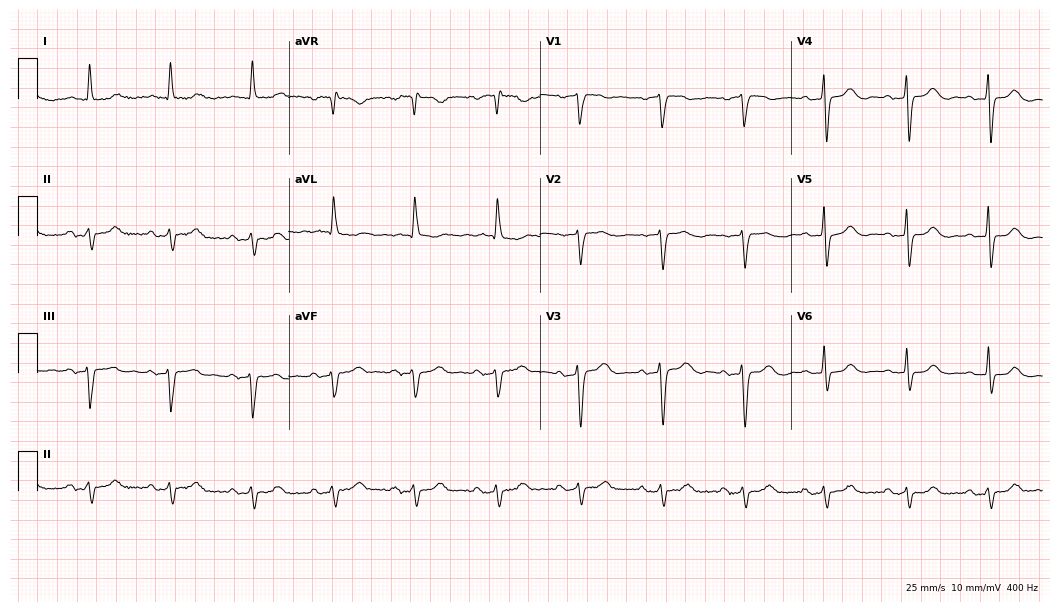
Electrocardiogram, a 75-year-old female patient. Of the six screened findings (first-degree AV block, right bundle branch block, left bundle branch block, sinus bradycardia, atrial fibrillation, sinus tachycardia), none is recorded. Only these six findings were labelled.